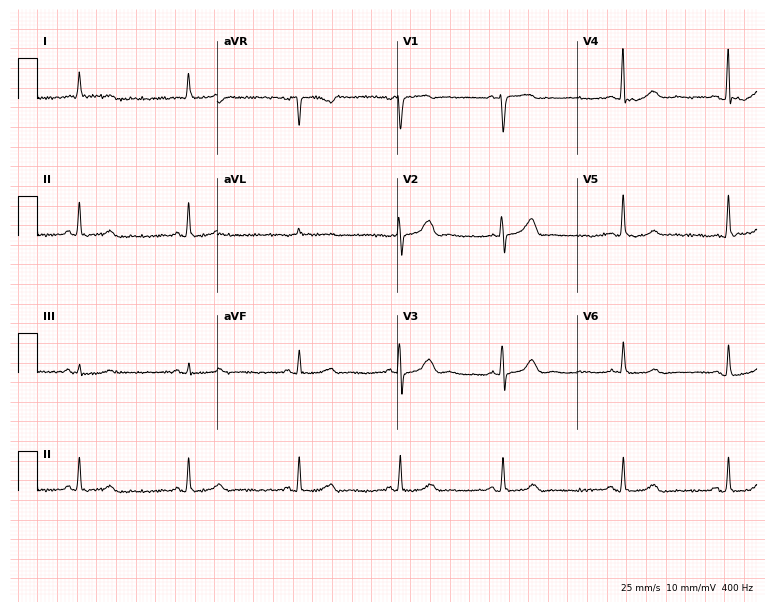
ECG — a female, 54 years old. Screened for six findings — first-degree AV block, right bundle branch block (RBBB), left bundle branch block (LBBB), sinus bradycardia, atrial fibrillation (AF), sinus tachycardia — none is recorded. Other findings, if any, are not listed.